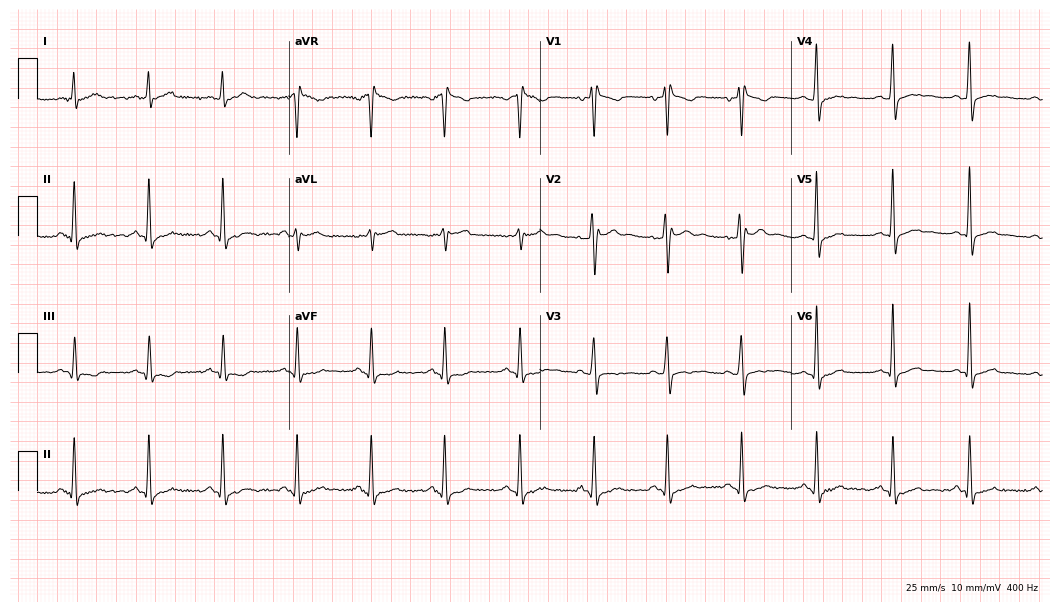
ECG — a male patient, 24 years old. Screened for six findings — first-degree AV block, right bundle branch block, left bundle branch block, sinus bradycardia, atrial fibrillation, sinus tachycardia — none is recorded. Other findings, if any, are not listed.